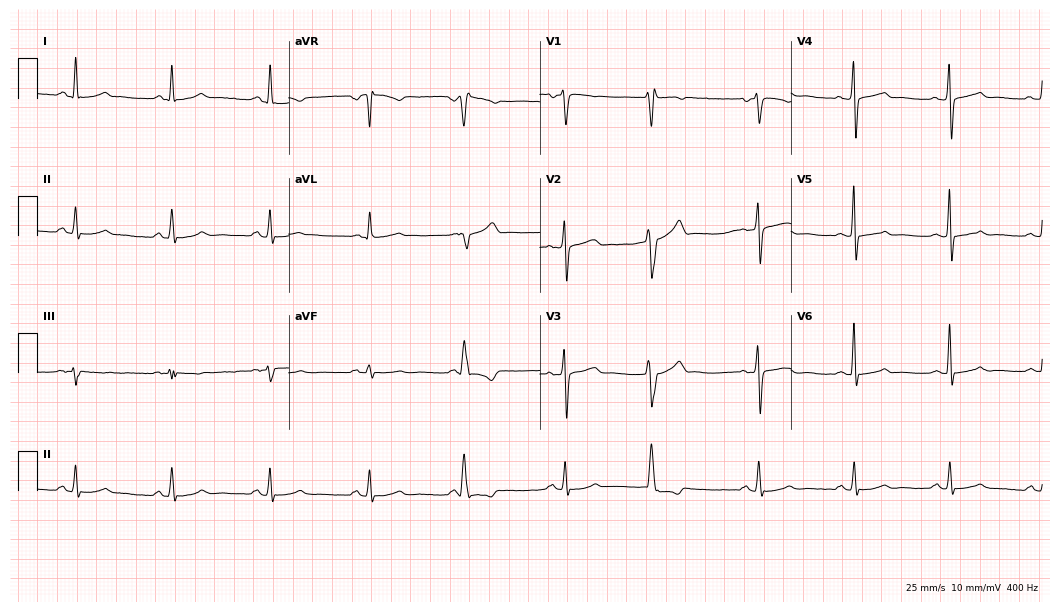
Standard 12-lead ECG recorded from a 67-year-old woman. None of these six findings is recorded: first-degree AV block, right bundle branch block, left bundle branch block, sinus bradycardia, atrial fibrillation, sinus tachycardia.